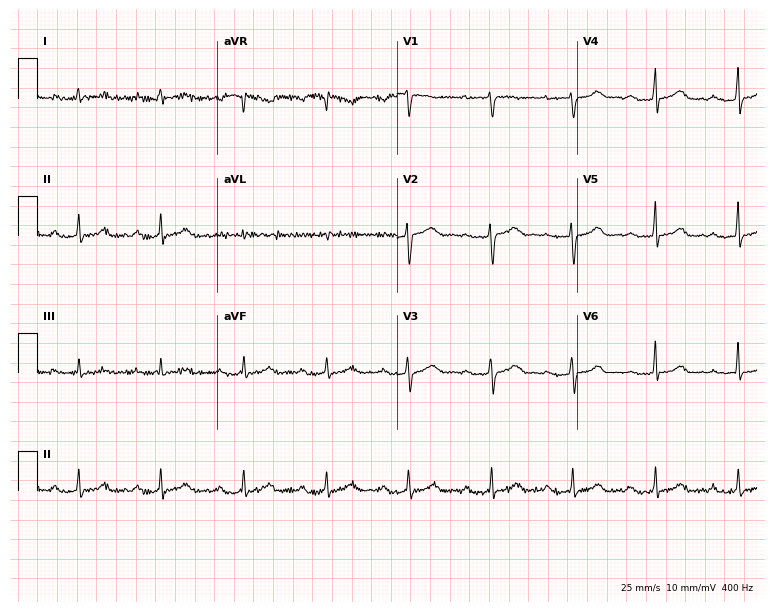
Resting 12-lead electrocardiogram. Patient: a woman, 46 years old. The tracing shows first-degree AV block.